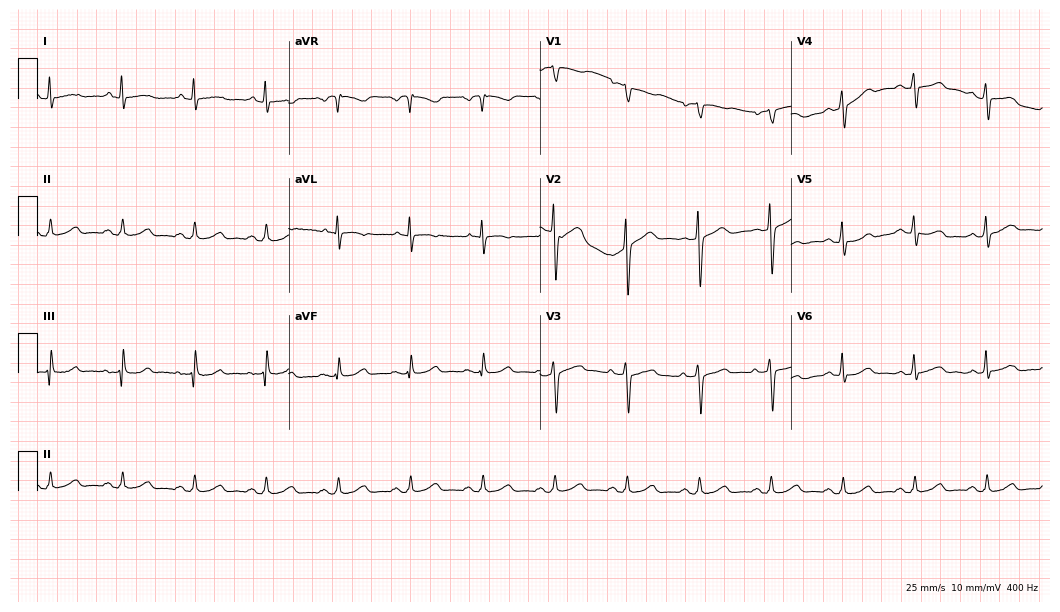
Standard 12-lead ECG recorded from a male, 60 years old. None of these six findings is recorded: first-degree AV block, right bundle branch block (RBBB), left bundle branch block (LBBB), sinus bradycardia, atrial fibrillation (AF), sinus tachycardia.